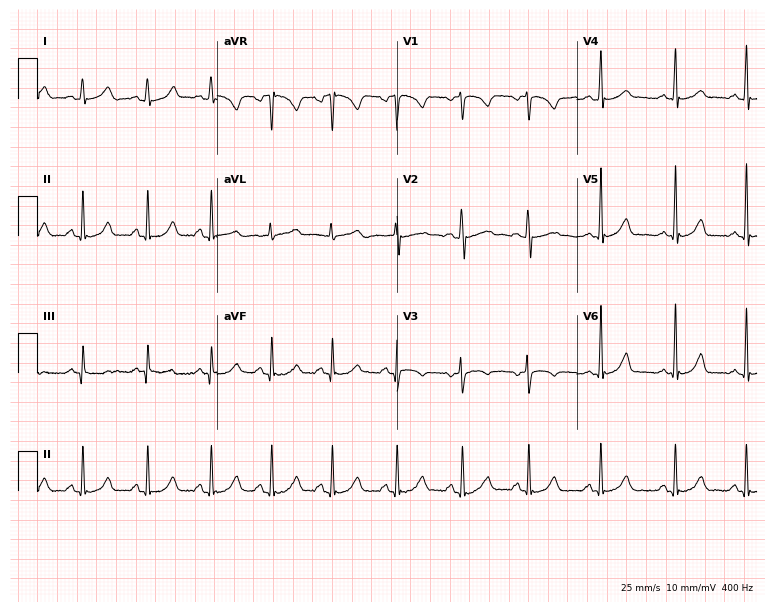
12-lead ECG from a 20-year-old woman. Labelled as a normal ECG.